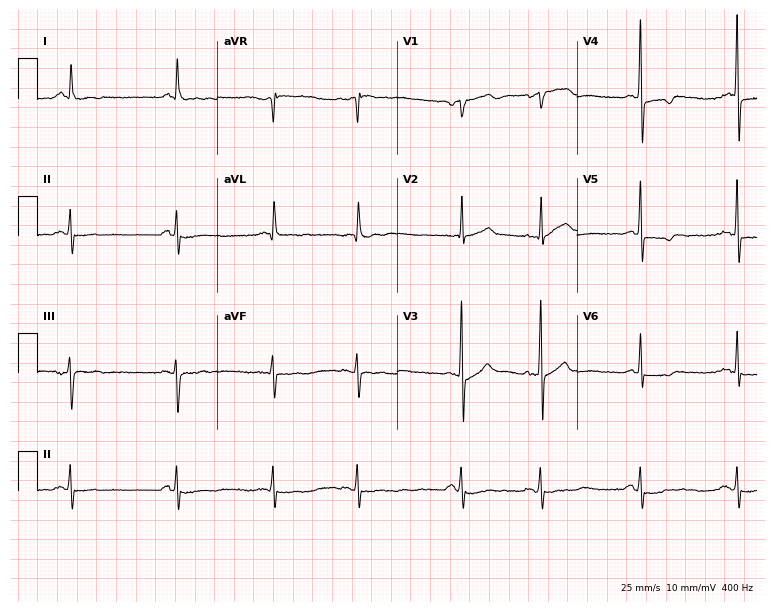
12-lead ECG from a 68-year-old man (7.3-second recording at 400 Hz). No first-degree AV block, right bundle branch block (RBBB), left bundle branch block (LBBB), sinus bradycardia, atrial fibrillation (AF) or sinus tachycardia recorded for this tracing. Other findings, if any, are not listed.